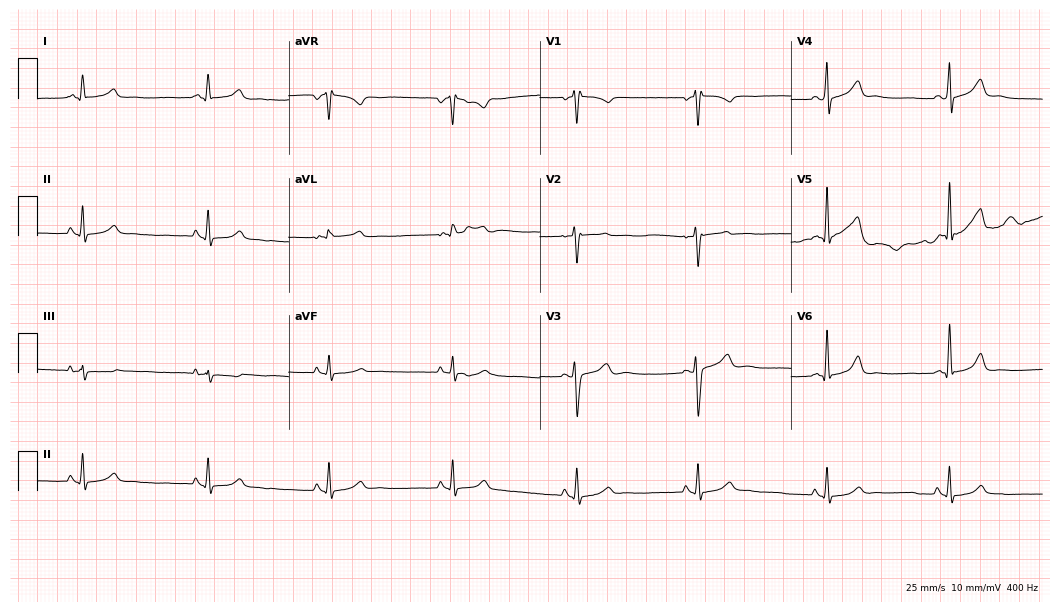
Standard 12-lead ECG recorded from a 29-year-old woman. Read as a normal ECG.